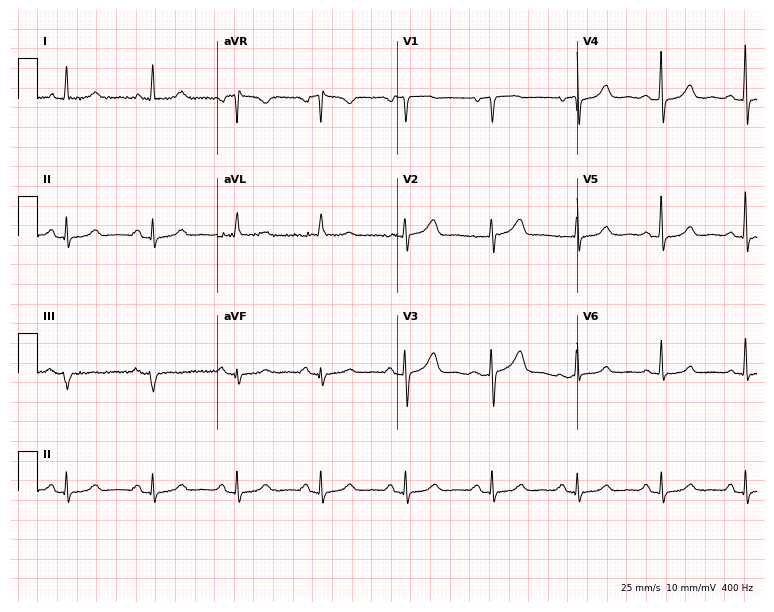
12-lead ECG (7.3-second recording at 400 Hz) from a female, 74 years old. Labelled as a normal ECG.